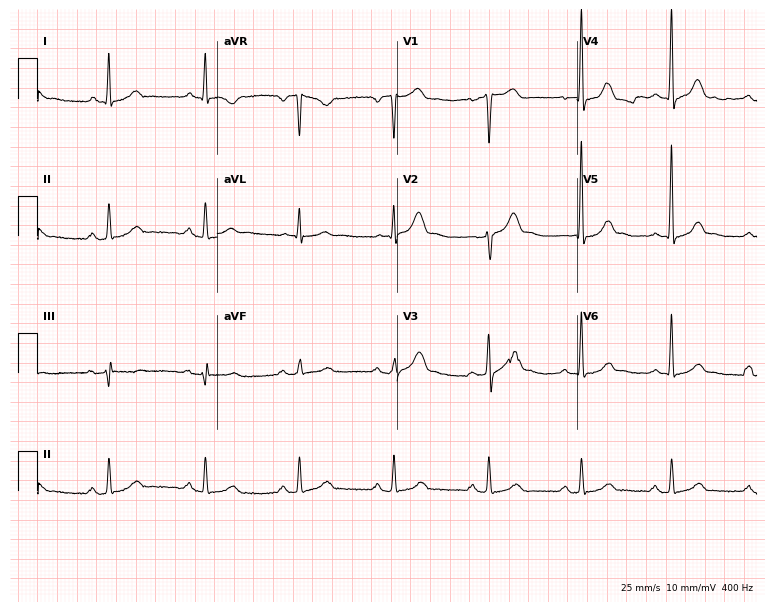
12-lead ECG from a male, 59 years old (7.3-second recording at 400 Hz). Recorded interpretation: within normal limits.